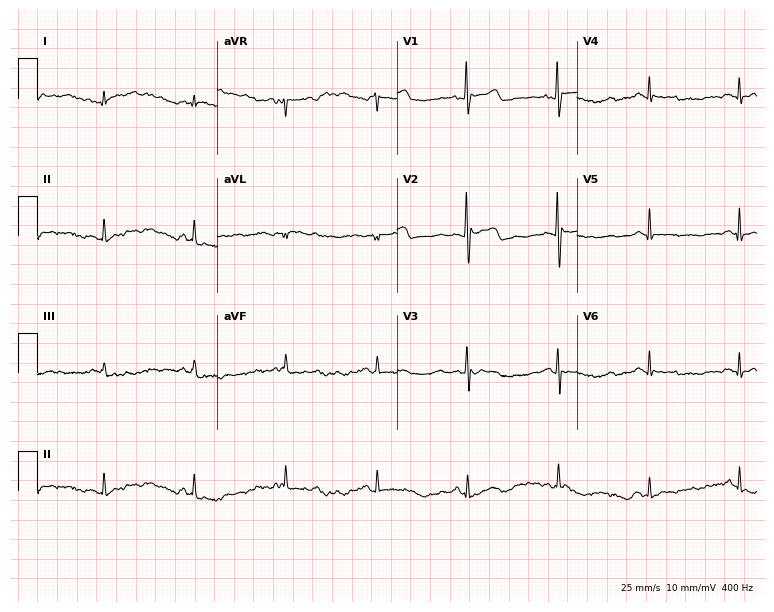
12-lead ECG (7.3-second recording at 400 Hz) from a 46-year-old man. Screened for six findings — first-degree AV block, right bundle branch block, left bundle branch block, sinus bradycardia, atrial fibrillation, sinus tachycardia — none is recorded.